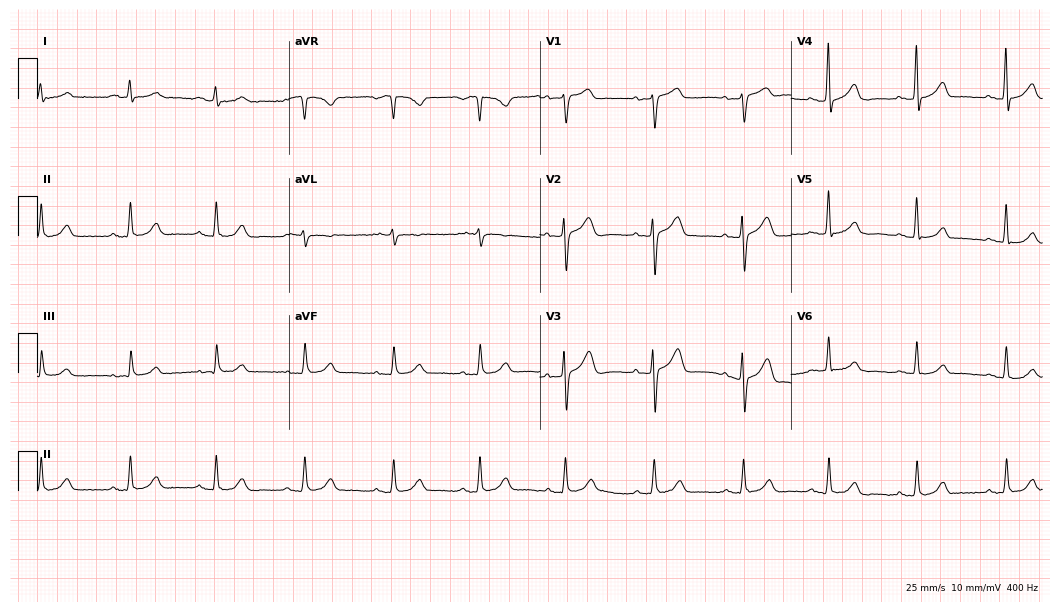
ECG — a male patient, 84 years old. Screened for six findings — first-degree AV block, right bundle branch block, left bundle branch block, sinus bradycardia, atrial fibrillation, sinus tachycardia — none is recorded.